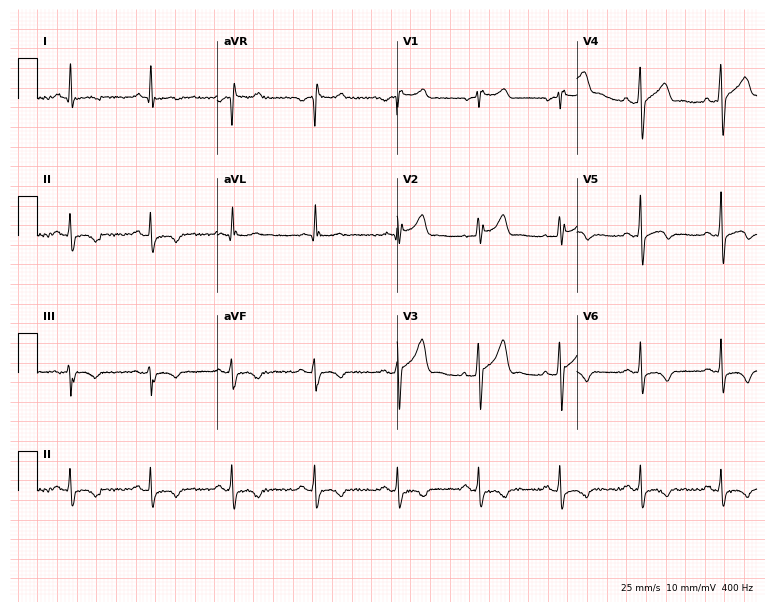
Resting 12-lead electrocardiogram. Patient: a 51-year-old man. None of these six findings is recorded: first-degree AV block, right bundle branch block, left bundle branch block, sinus bradycardia, atrial fibrillation, sinus tachycardia. Only these six findings were labelled.